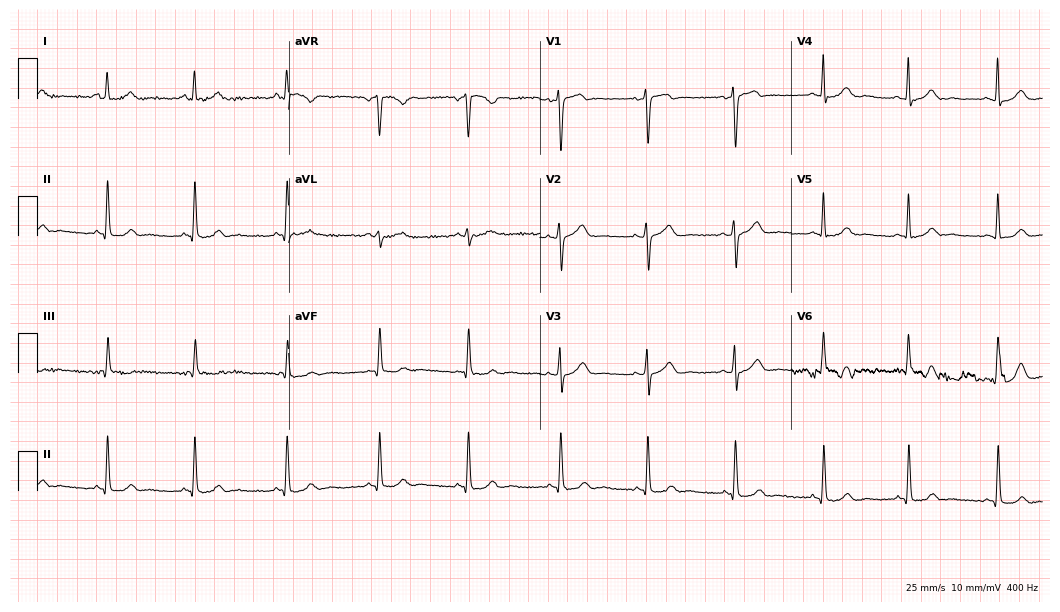
Standard 12-lead ECG recorded from a woman, 43 years old. Read as a normal ECG.